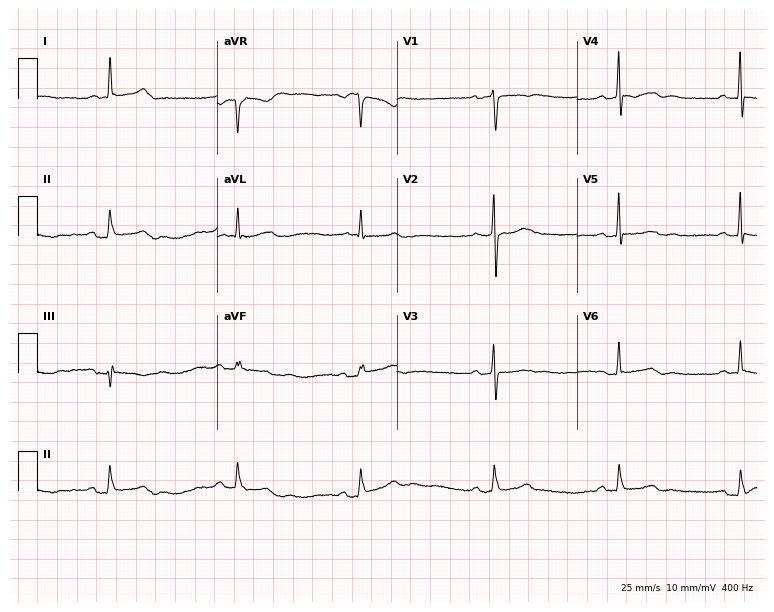
Standard 12-lead ECG recorded from a woman, 53 years old (7.3-second recording at 400 Hz). The tracing shows sinus bradycardia (a sinus rate of 50 beats per minute or less).